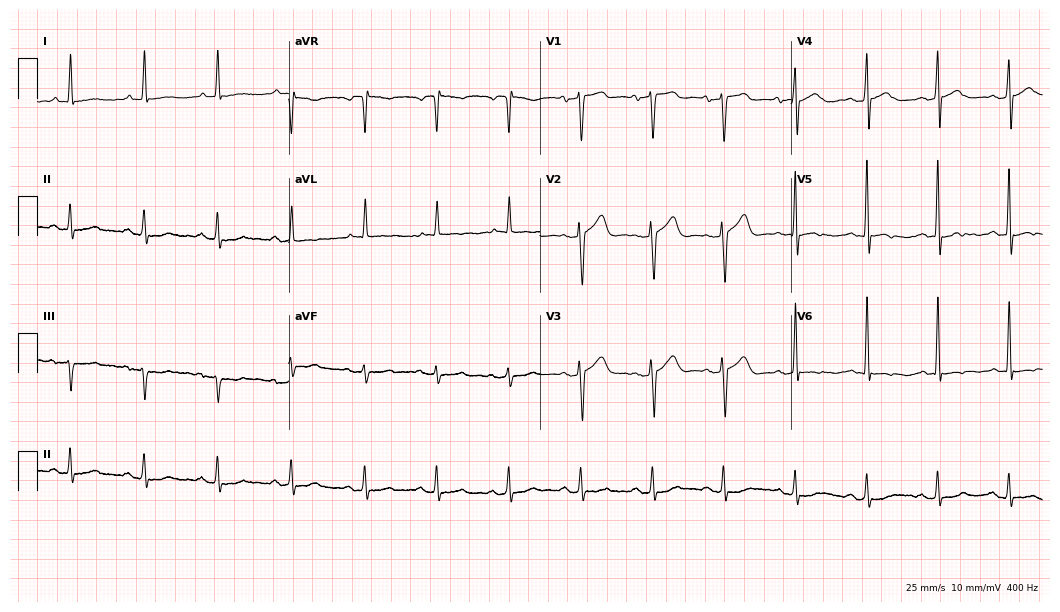
Standard 12-lead ECG recorded from a 70-year-old man. None of these six findings is recorded: first-degree AV block, right bundle branch block (RBBB), left bundle branch block (LBBB), sinus bradycardia, atrial fibrillation (AF), sinus tachycardia. Other findings, if any, are not listed.